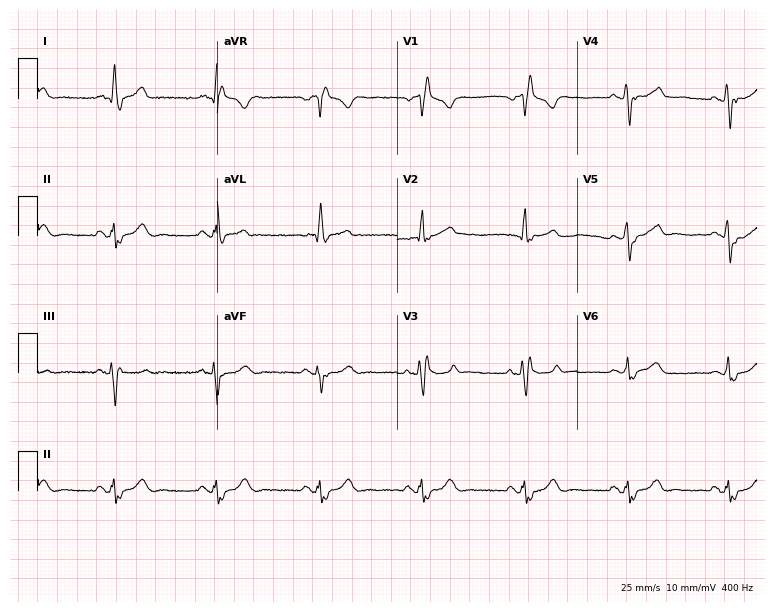
12-lead ECG from a 67-year-old male patient. Findings include right bundle branch block.